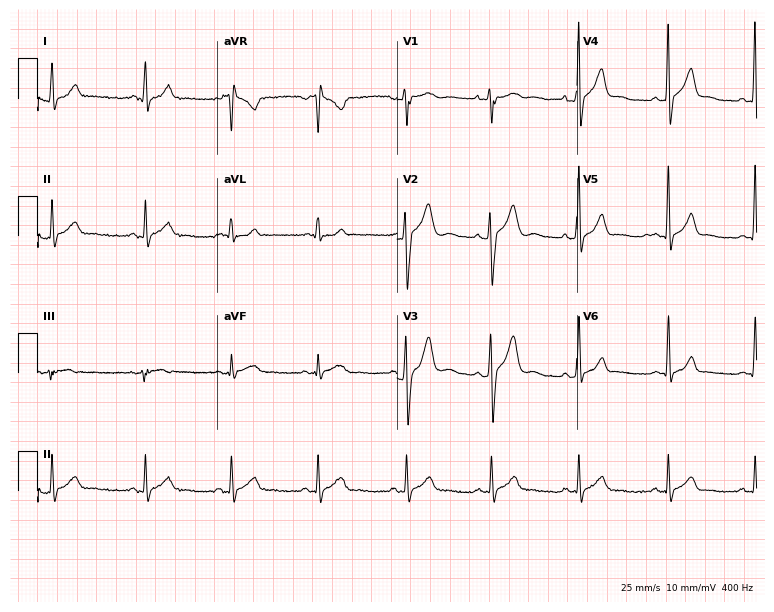
Electrocardiogram (7.3-second recording at 400 Hz), a 20-year-old male. Overall reading on record: normal ECG.